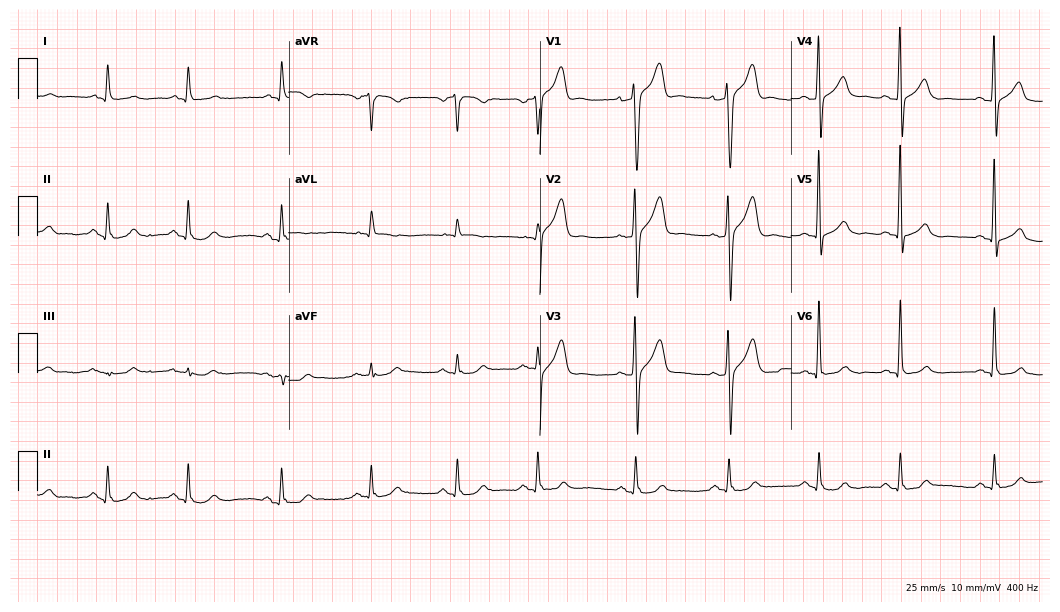
12-lead ECG (10.2-second recording at 400 Hz) from a male patient, 80 years old. Screened for six findings — first-degree AV block, right bundle branch block, left bundle branch block, sinus bradycardia, atrial fibrillation, sinus tachycardia — none is recorded.